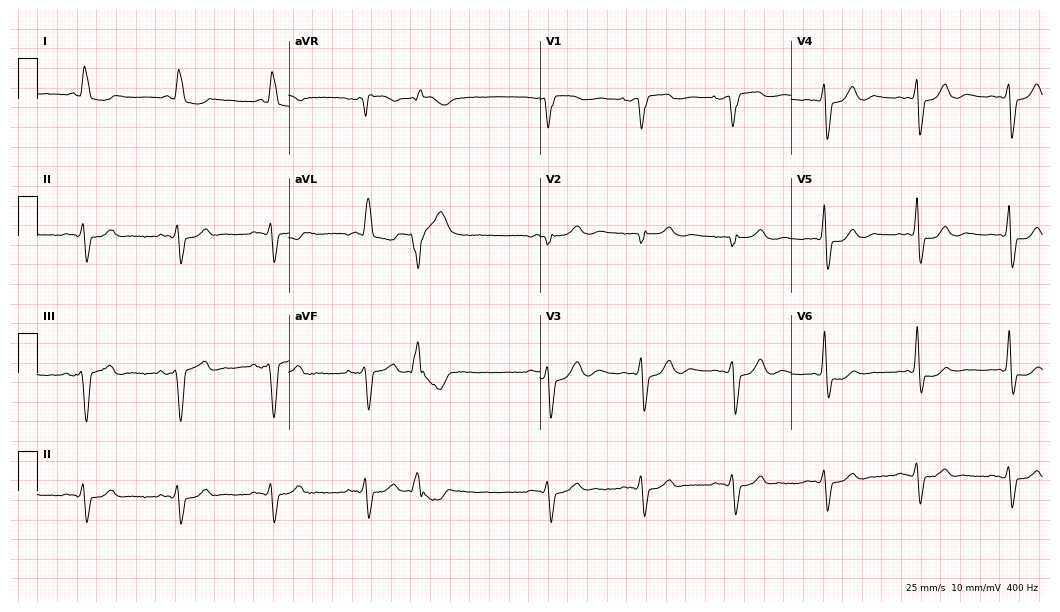
Electrocardiogram (10.2-second recording at 400 Hz), an 84-year-old female. Interpretation includes left bundle branch block (LBBB).